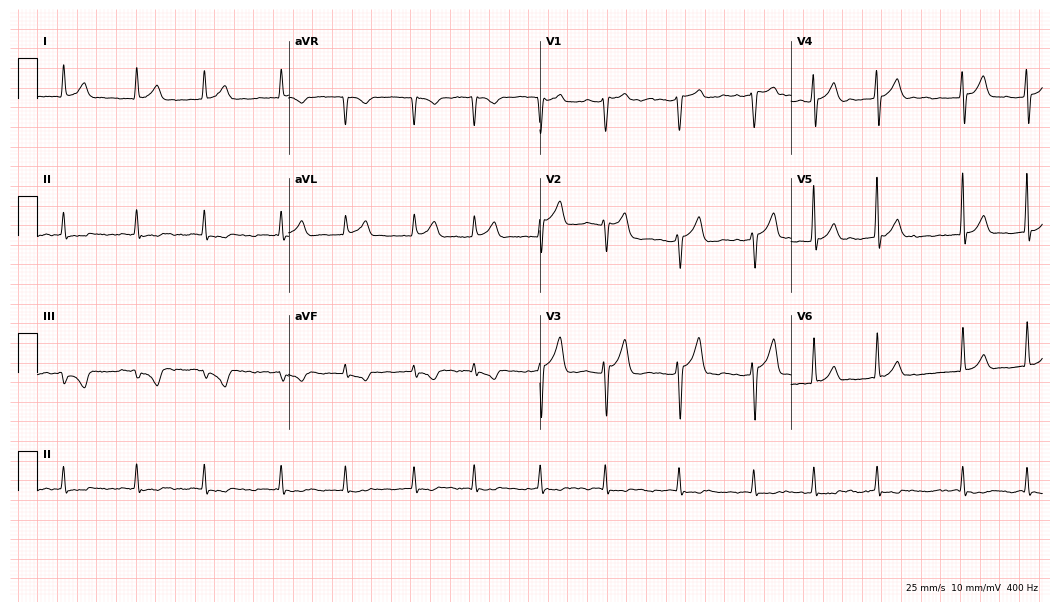
ECG (10.2-second recording at 400 Hz) — a 73-year-old male. Findings include atrial fibrillation (AF).